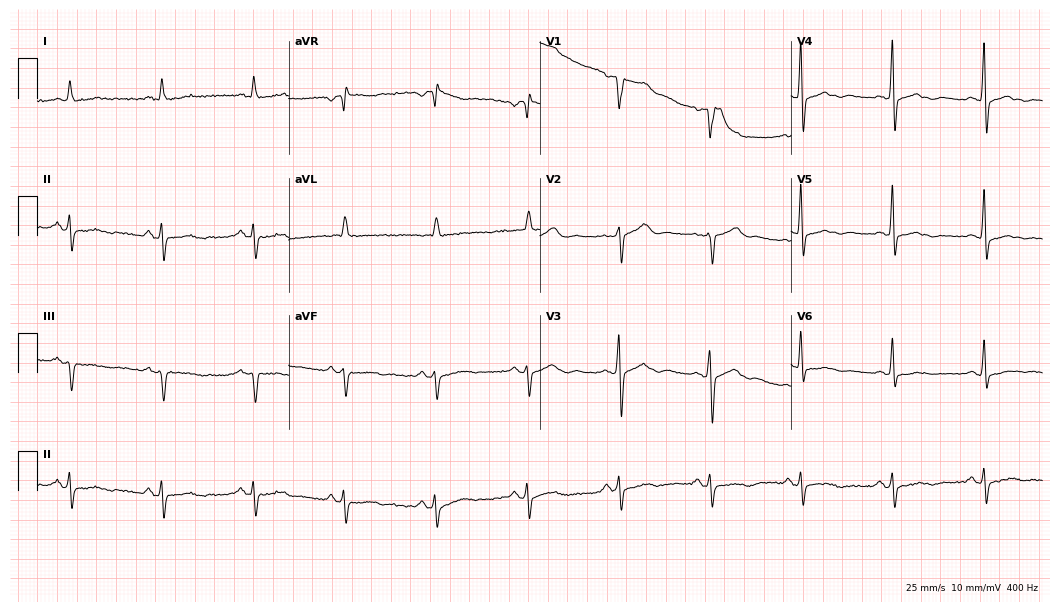
12-lead ECG from a 66-year-old male. No first-degree AV block, right bundle branch block, left bundle branch block, sinus bradycardia, atrial fibrillation or sinus tachycardia recorded for this tracing. Other findings, if any, are not listed.